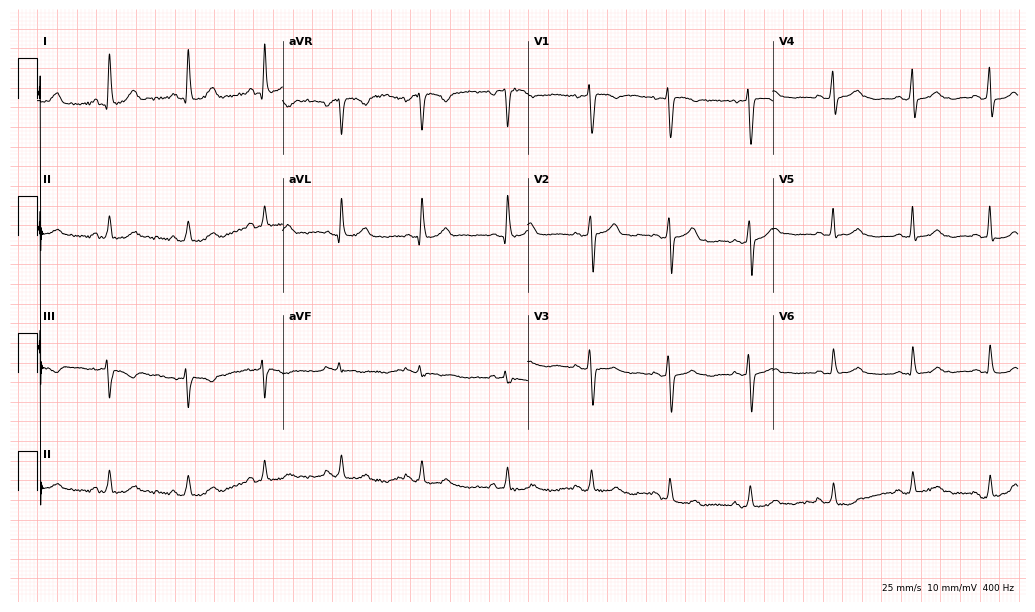
Electrocardiogram (10-second recording at 400 Hz), a woman, 47 years old. Of the six screened findings (first-degree AV block, right bundle branch block, left bundle branch block, sinus bradycardia, atrial fibrillation, sinus tachycardia), none is recorded.